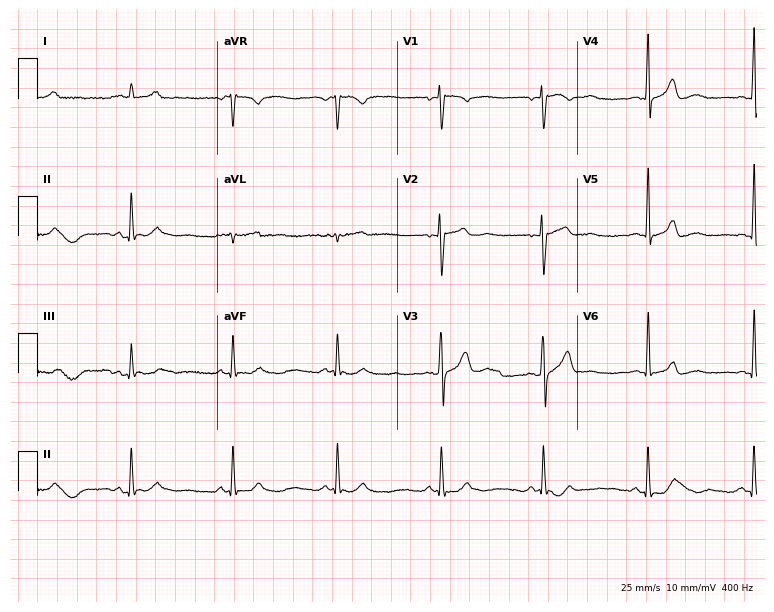
12-lead ECG from a male, 34 years old. Recorded interpretation: within normal limits.